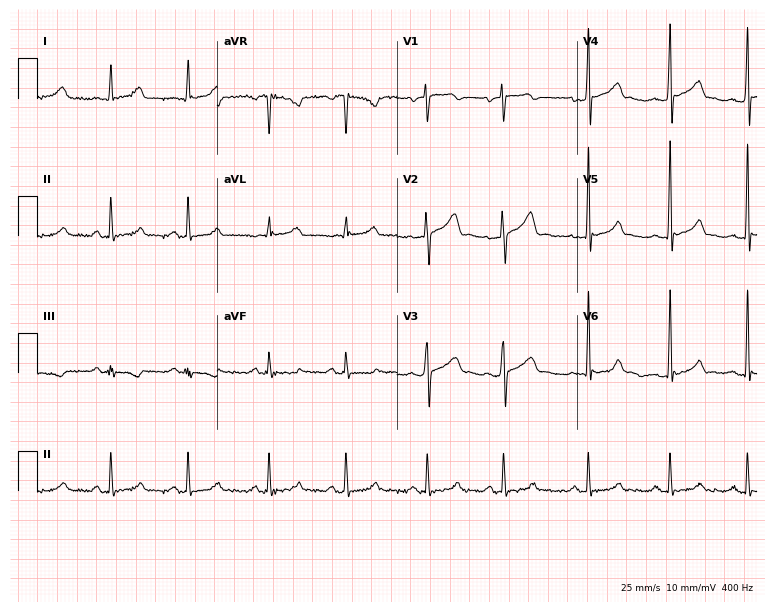
Resting 12-lead electrocardiogram (7.3-second recording at 400 Hz). Patient: a 40-year-old male. Read as a normal ECG.